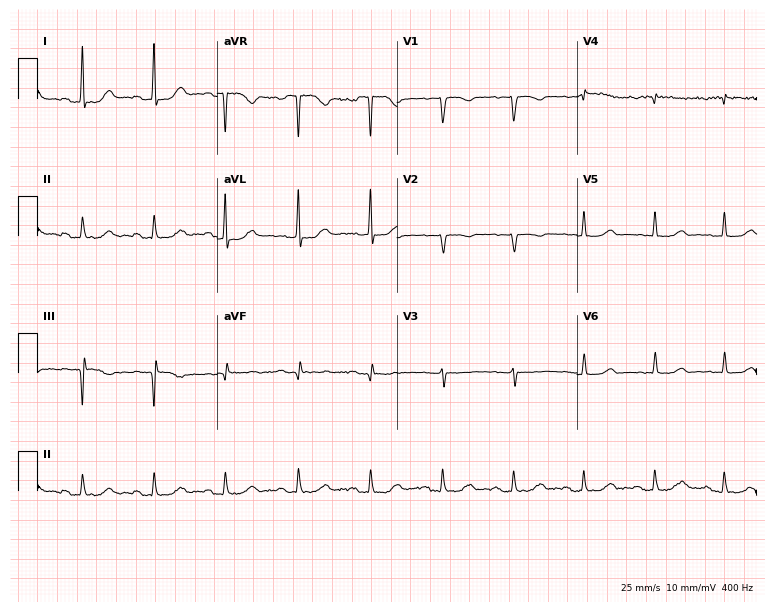
ECG (7.3-second recording at 400 Hz) — a 74-year-old woman. Screened for six findings — first-degree AV block, right bundle branch block, left bundle branch block, sinus bradycardia, atrial fibrillation, sinus tachycardia — none is recorded.